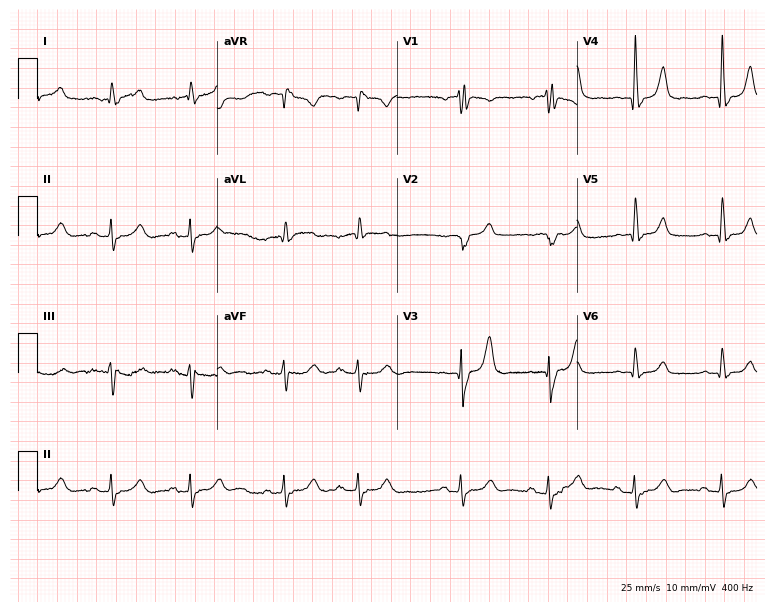
Standard 12-lead ECG recorded from a 77-year-old male (7.3-second recording at 400 Hz). None of these six findings is recorded: first-degree AV block, right bundle branch block, left bundle branch block, sinus bradycardia, atrial fibrillation, sinus tachycardia. Only these six findings were labelled.